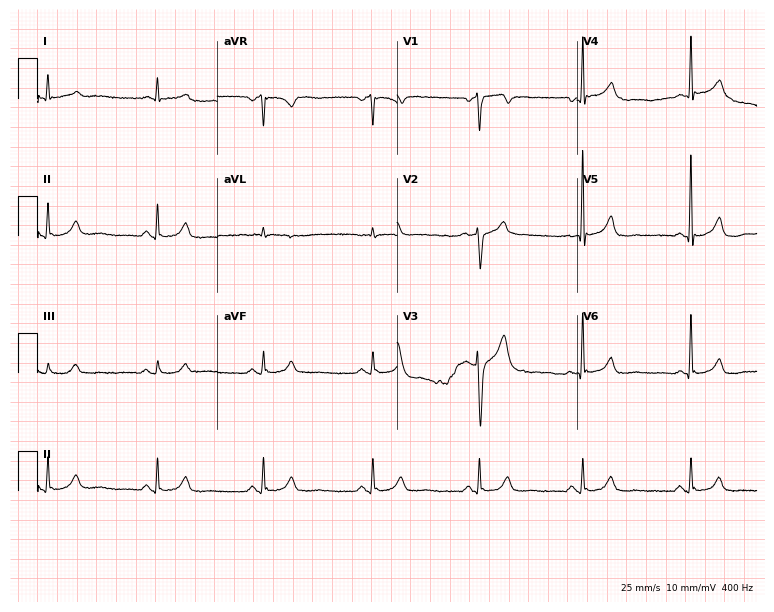
12-lead ECG from a man, 43 years old (7.3-second recording at 400 Hz). Recorded interpretation: within normal limits.